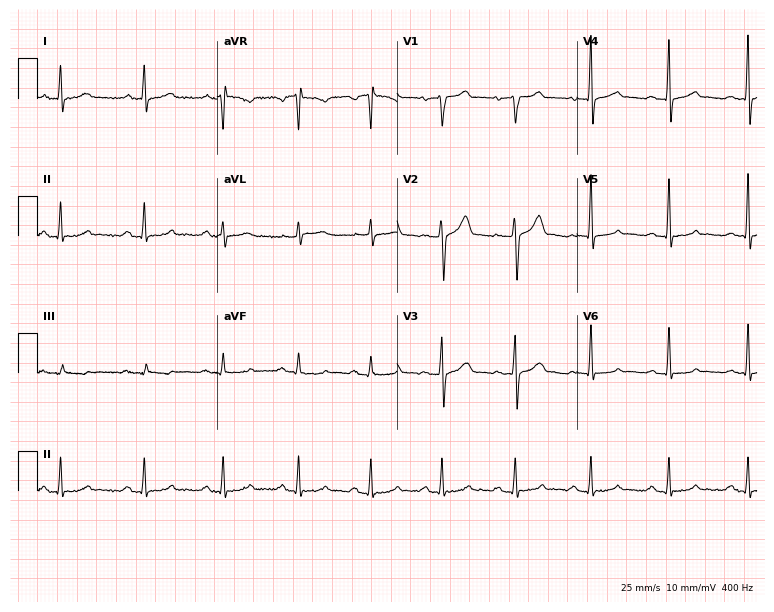
ECG (7.3-second recording at 400 Hz) — a man, 41 years old. Screened for six findings — first-degree AV block, right bundle branch block, left bundle branch block, sinus bradycardia, atrial fibrillation, sinus tachycardia — none is recorded.